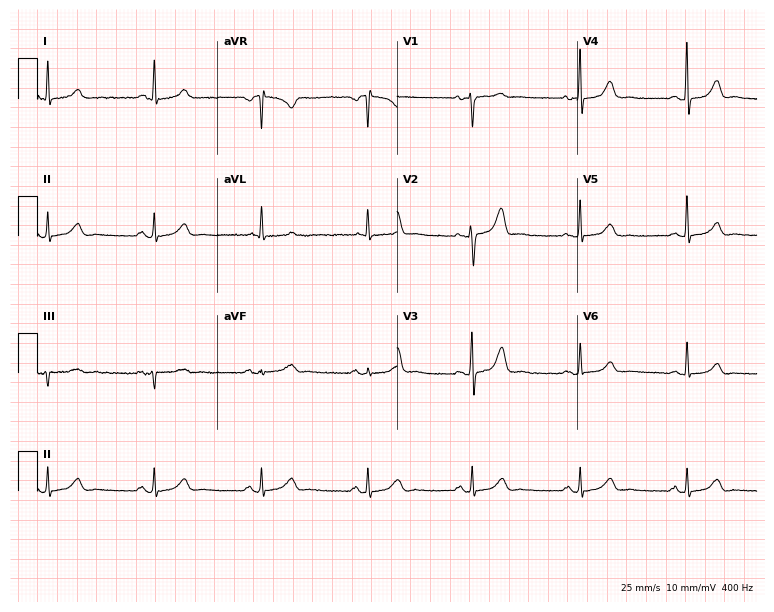
Resting 12-lead electrocardiogram (7.3-second recording at 400 Hz). Patient: a female, 48 years old. Read as a normal ECG.